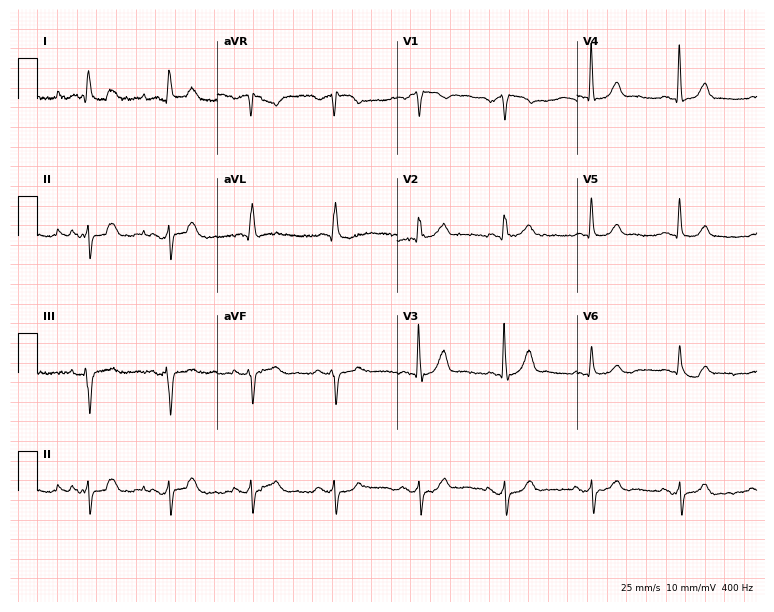
ECG — an 80-year-old man. Screened for six findings — first-degree AV block, right bundle branch block (RBBB), left bundle branch block (LBBB), sinus bradycardia, atrial fibrillation (AF), sinus tachycardia — none is recorded. Only these six findings were labelled.